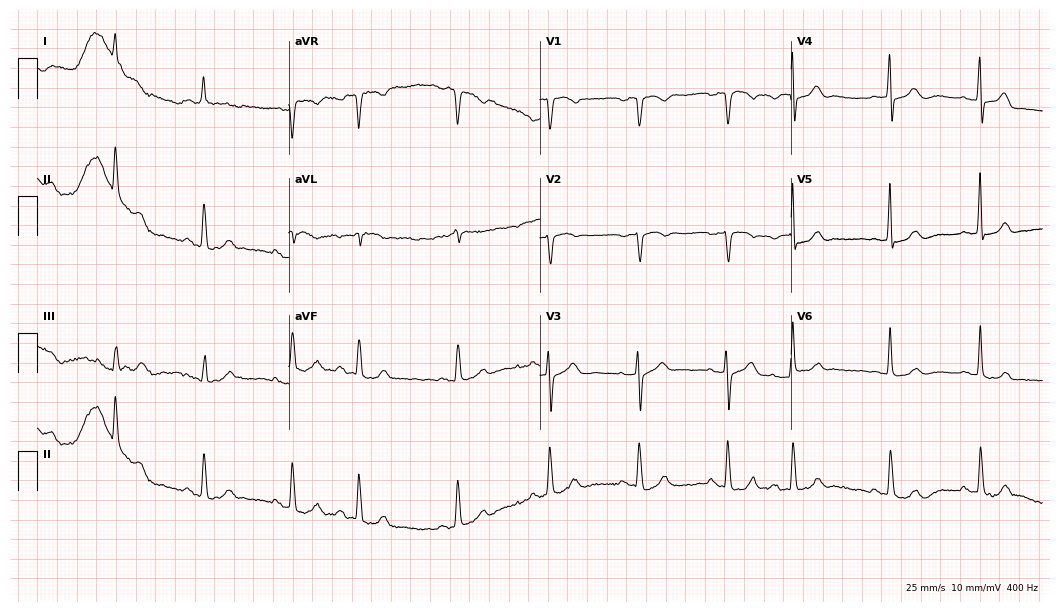
Electrocardiogram (10.2-second recording at 400 Hz), a female patient, 79 years old. Of the six screened findings (first-degree AV block, right bundle branch block (RBBB), left bundle branch block (LBBB), sinus bradycardia, atrial fibrillation (AF), sinus tachycardia), none is recorded. Other findings, if any, are not listed.